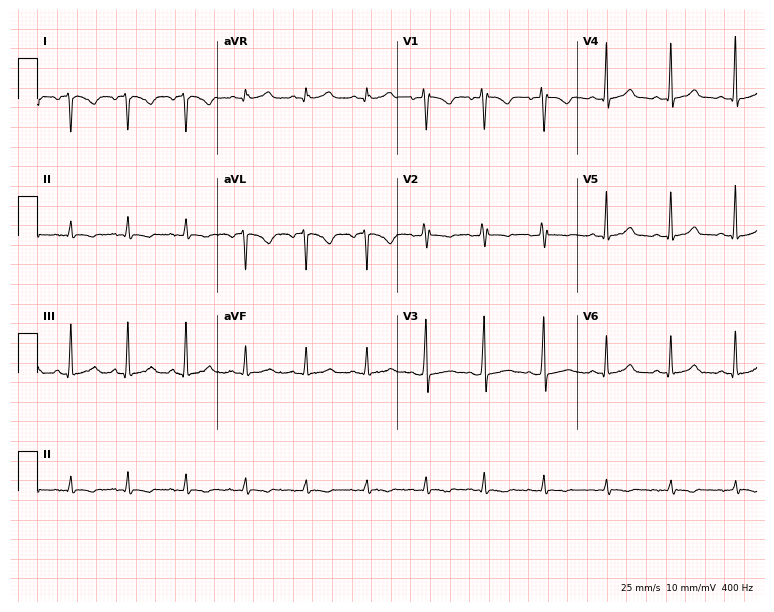
ECG (7.3-second recording at 400 Hz) — a woman, 22 years old. Screened for six findings — first-degree AV block, right bundle branch block, left bundle branch block, sinus bradycardia, atrial fibrillation, sinus tachycardia — none is recorded.